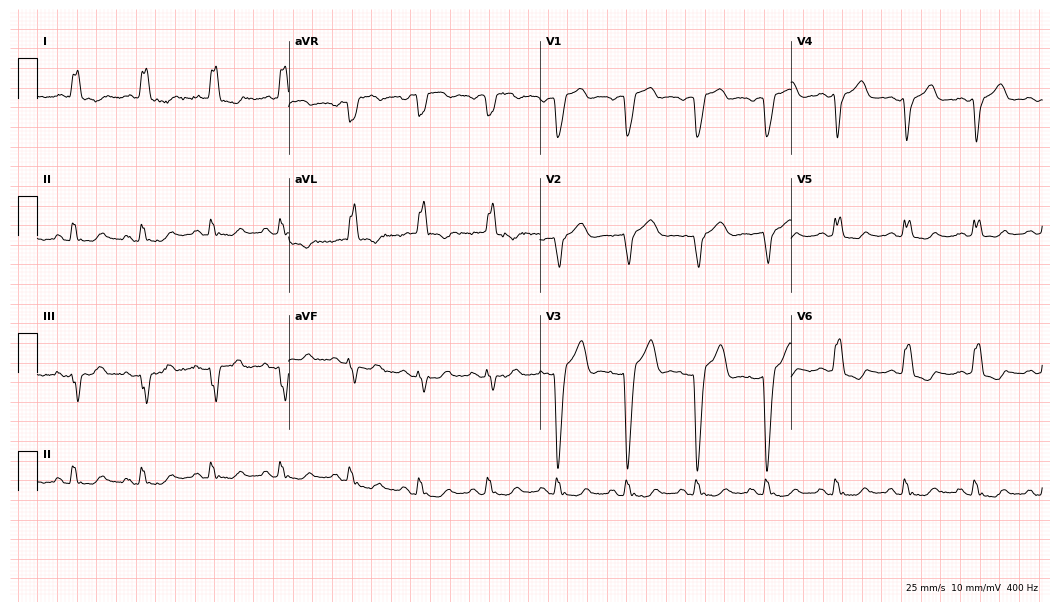
Resting 12-lead electrocardiogram (10.2-second recording at 400 Hz). Patient: a woman, 60 years old. The tracing shows left bundle branch block.